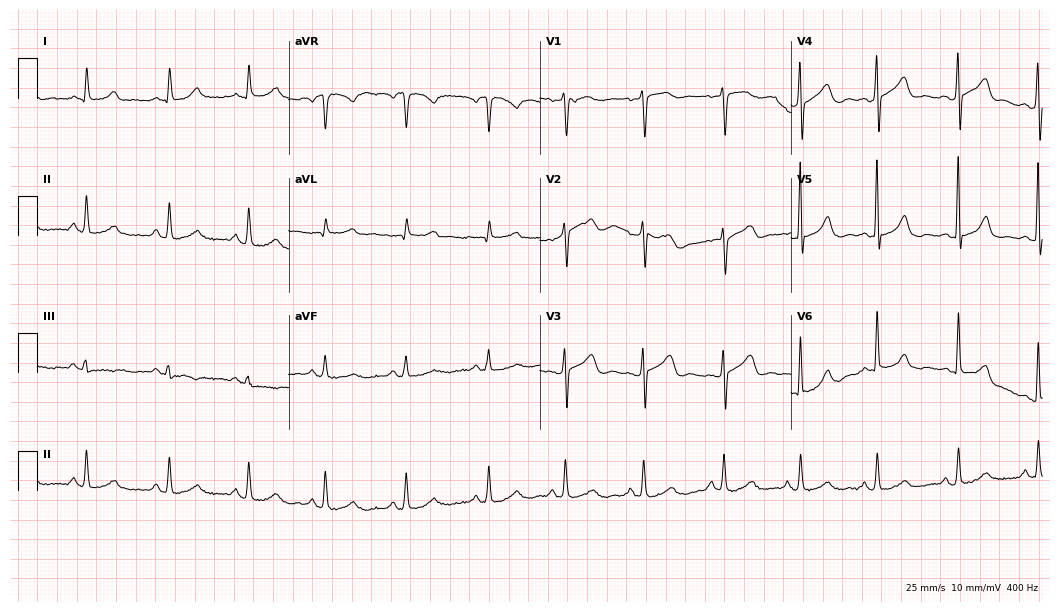
Resting 12-lead electrocardiogram. Patient: a woman, 66 years old. Read as a normal ECG.